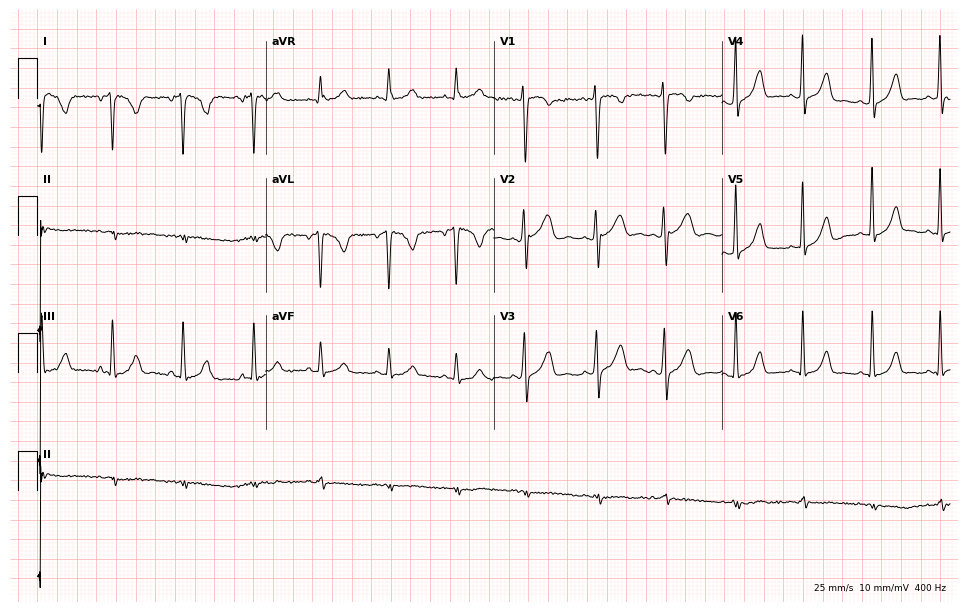
Resting 12-lead electrocardiogram (9.3-second recording at 400 Hz). Patient: a 30-year-old woman. Read as a normal ECG.